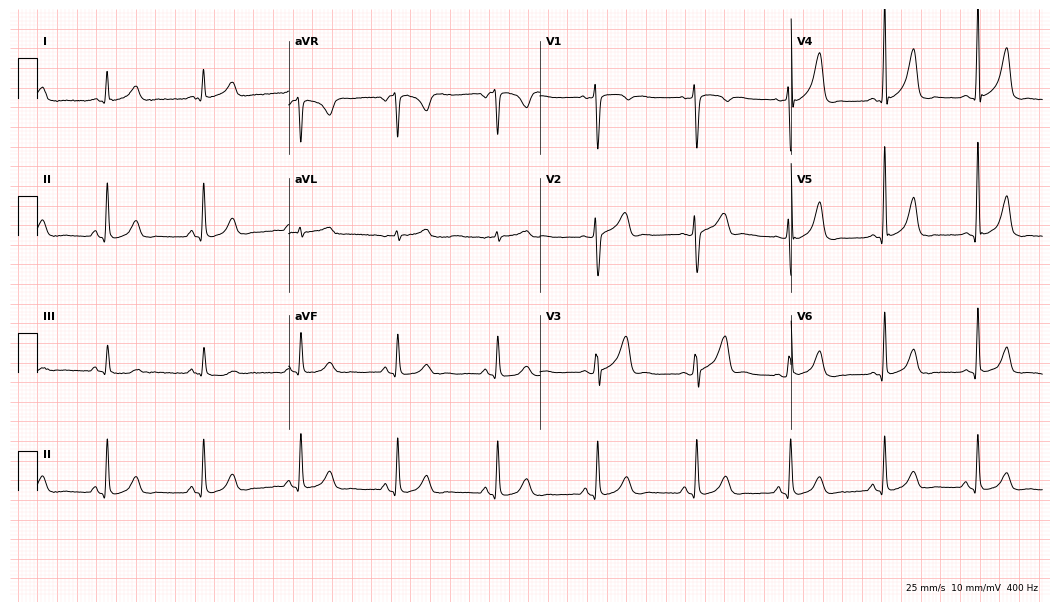
Standard 12-lead ECG recorded from a 45-year-old female (10.2-second recording at 400 Hz). None of these six findings is recorded: first-degree AV block, right bundle branch block (RBBB), left bundle branch block (LBBB), sinus bradycardia, atrial fibrillation (AF), sinus tachycardia.